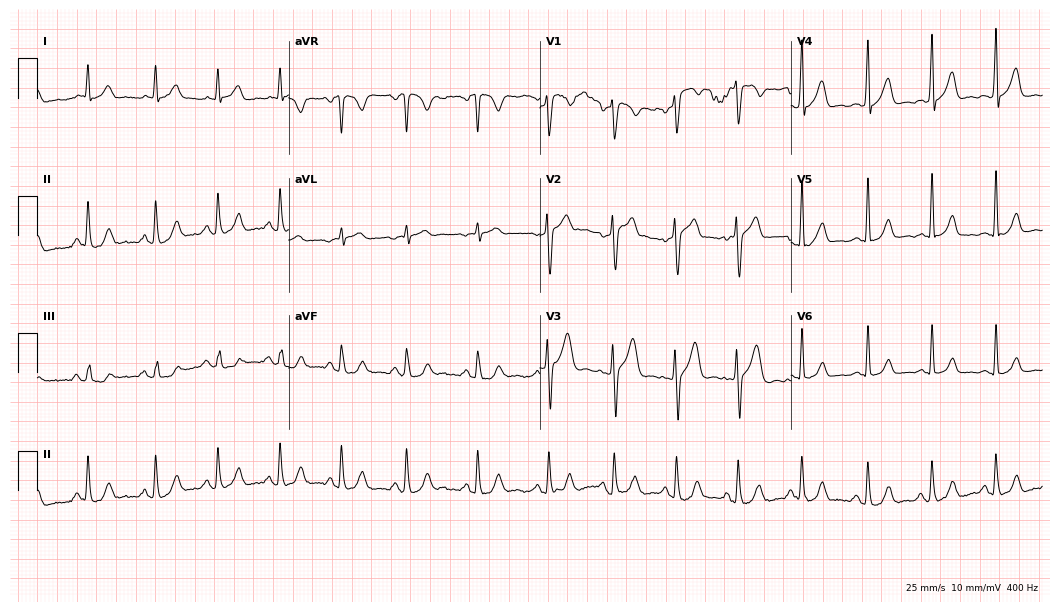
12-lead ECG (10.2-second recording at 400 Hz) from a male patient, 23 years old. Labelled as a normal ECG.